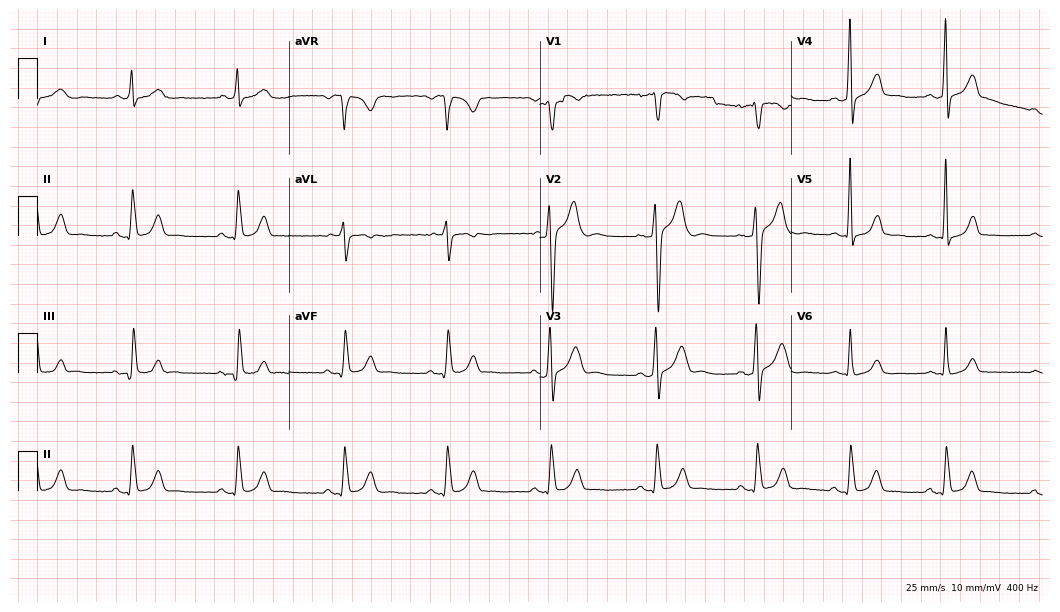
Standard 12-lead ECG recorded from a 36-year-old man. None of these six findings is recorded: first-degree AV block, right bundle branch block (RBBB), left bundle branch block (LBBB), sinus bradycardia, atrial fibrillation (AF), sinus tachycardia.